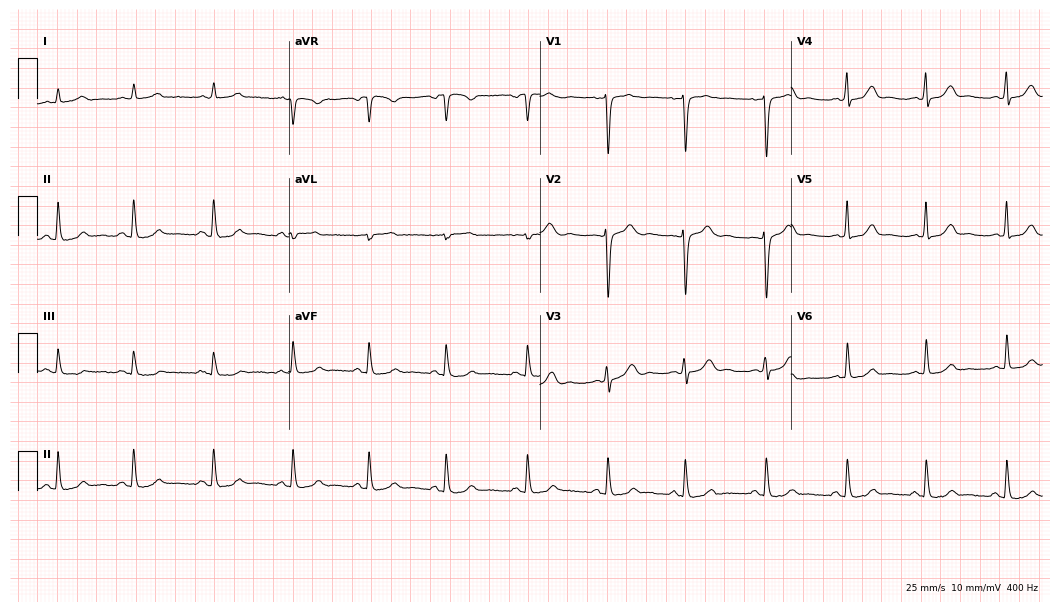
12-lead ECG from a woman, 42 years old (10.2-second recording at 400 Hz). Recorded interpretation: within normal limits.